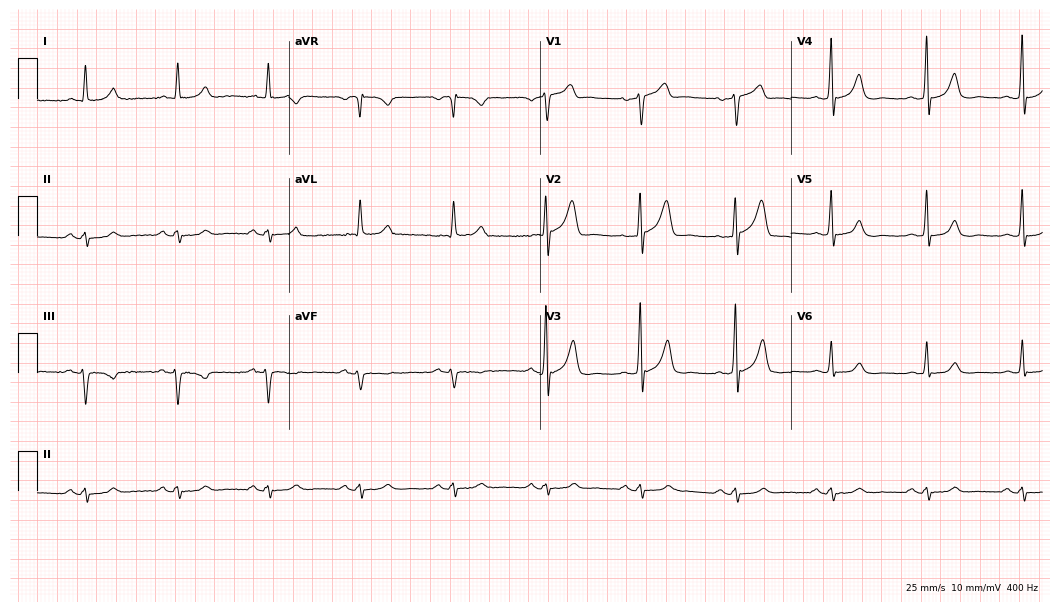
12-lead ECG from a male, 65 years old. Recorded interpretation: within normal limits.